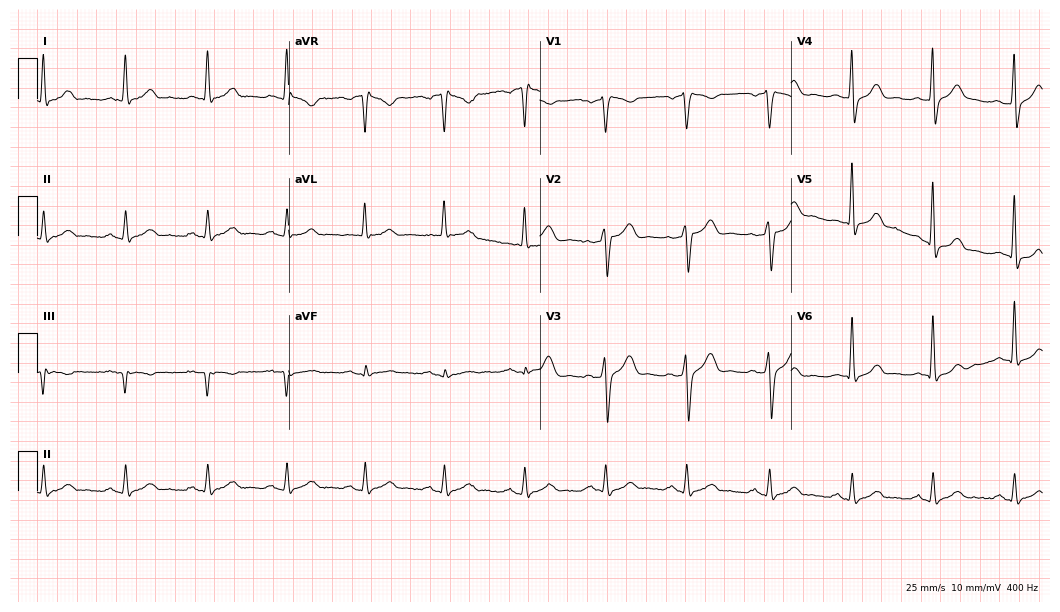
Resting 12-lead electrocardiogram (10.2-second recording at 400 Hz). Patient: a 42-year-old man. None of these six findings is recorded: first-degree AV block, right bundle branch block (RBBB), left bundle branch block (LBBB), sinus bradycardia, atrial fibrillation (AF), sinus tachycardia. Only these six findings were labelled.